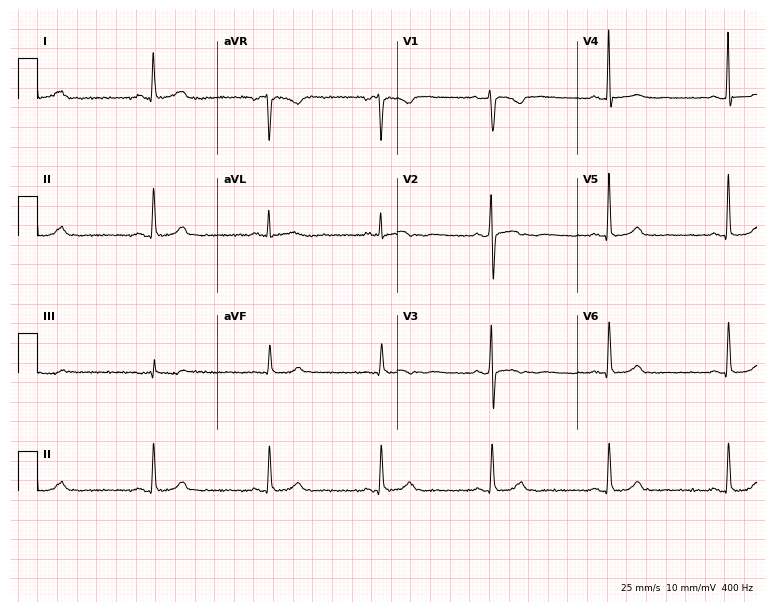
Electrocardiogram (7.3-second recording at 400 Hz), a female, 54 years old. Of the six screened findings (first-degree AV block, right bundle branch block, left bundle branch block, sinus bradycardia, atrial fibrillation, sinus tachycardia), none is recorded.